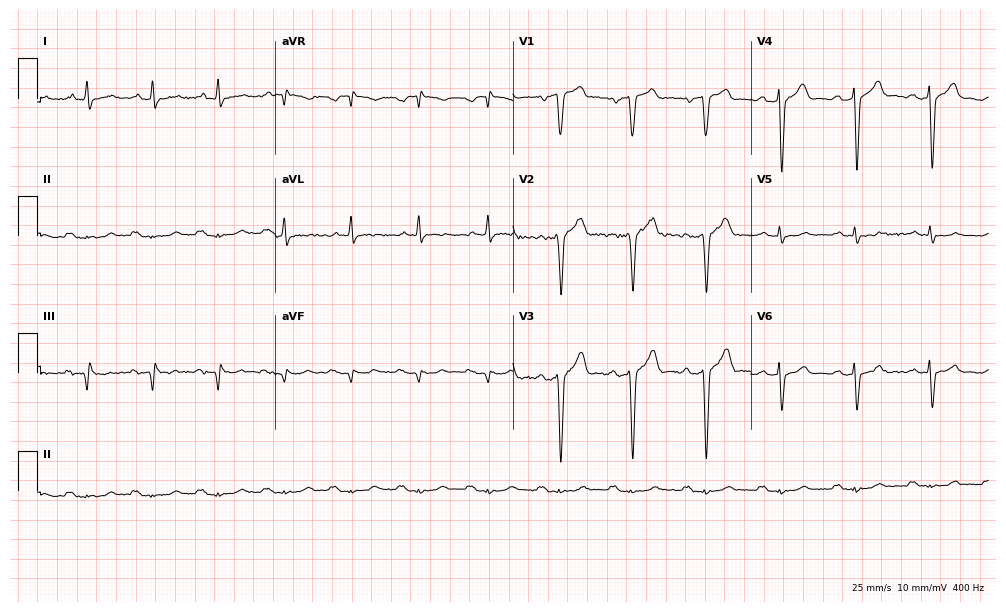
Electrocardiogram, a 66-year-old male patient. Of the six screened findings (first-degree AV block, right bundle branch block (RBBB), left bundle branch block (LBBB), sinus bradycardia, atrial fibrillation (AF), sinus tachycardia), none is recorded.